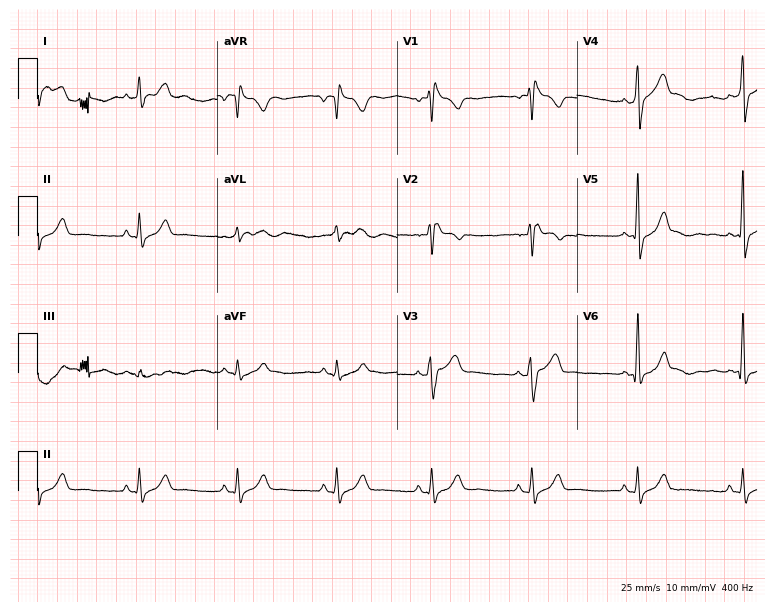
Resting 12-lead electrocardiogram (7.3-second recording at 400 Hz). Patient: a male, 35 years old. None of these six findings is recorded: first-degree AV block, right bundle branch block, left bundle branch block, sinus bradycardia, atrial fibrillation, sinus tachycardia.